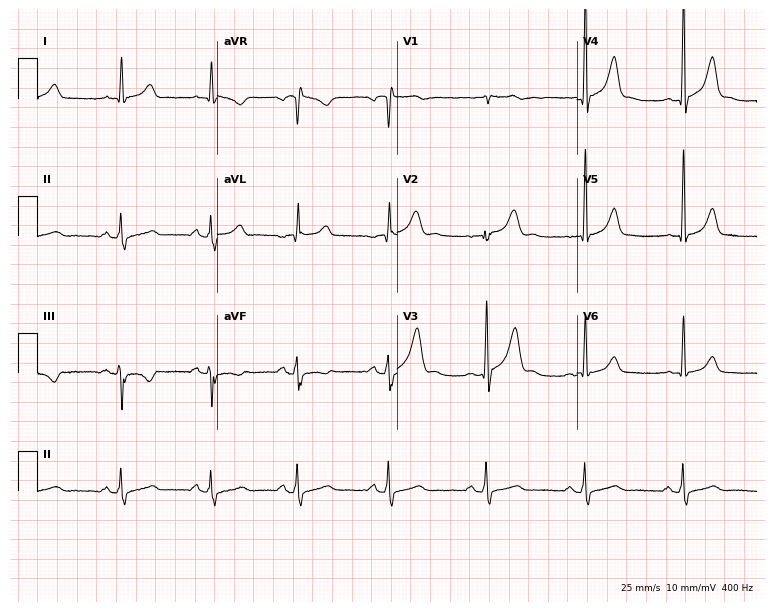
12-lead ECG from a 25-year-old male. Recorded interpretation: within normal limits.